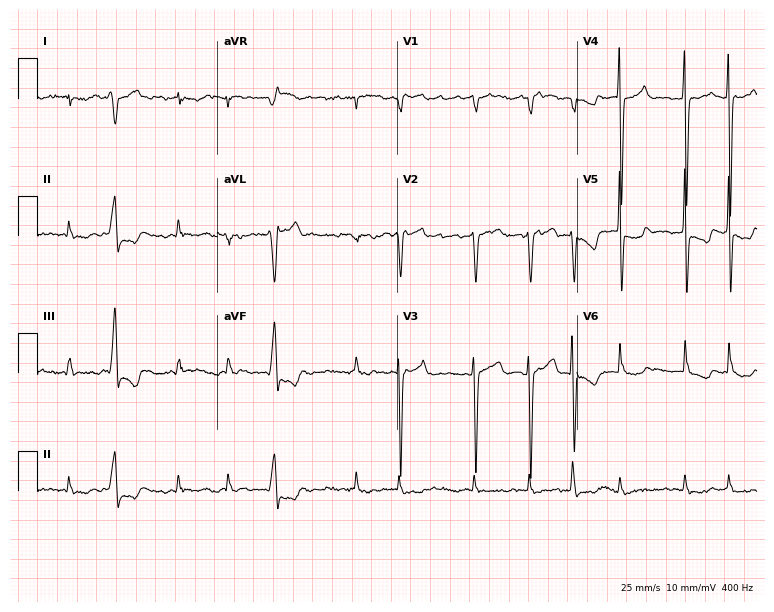
12-lead ECG (7.3-second recording at 400 Hz) from a woman, 79 years old. Screened for six findings — first-degree AV block, right bundle branch block, left bundle branch block, sinus bradycardia, atrial fibrillation, sinus tachycardia — none is recorded.